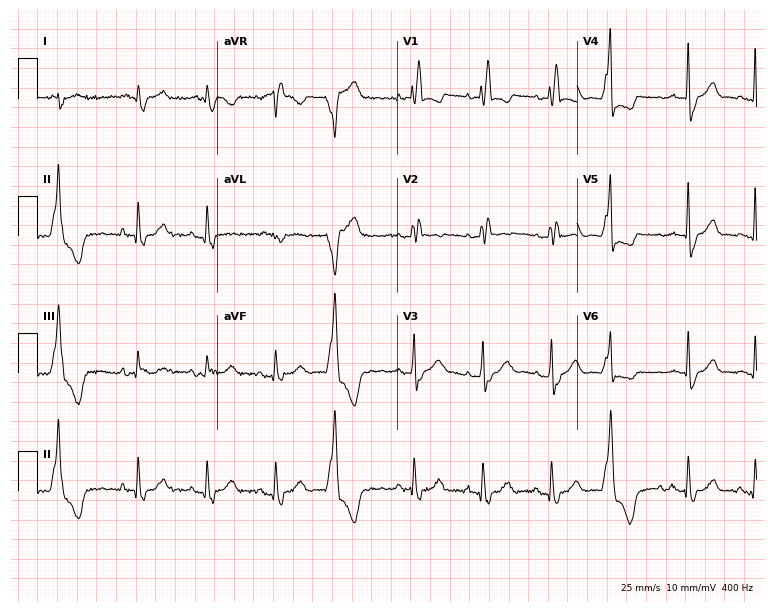
Standard 12-lead ECG recorded from an 84-year-old man. The tracing shows right bundle branch block.